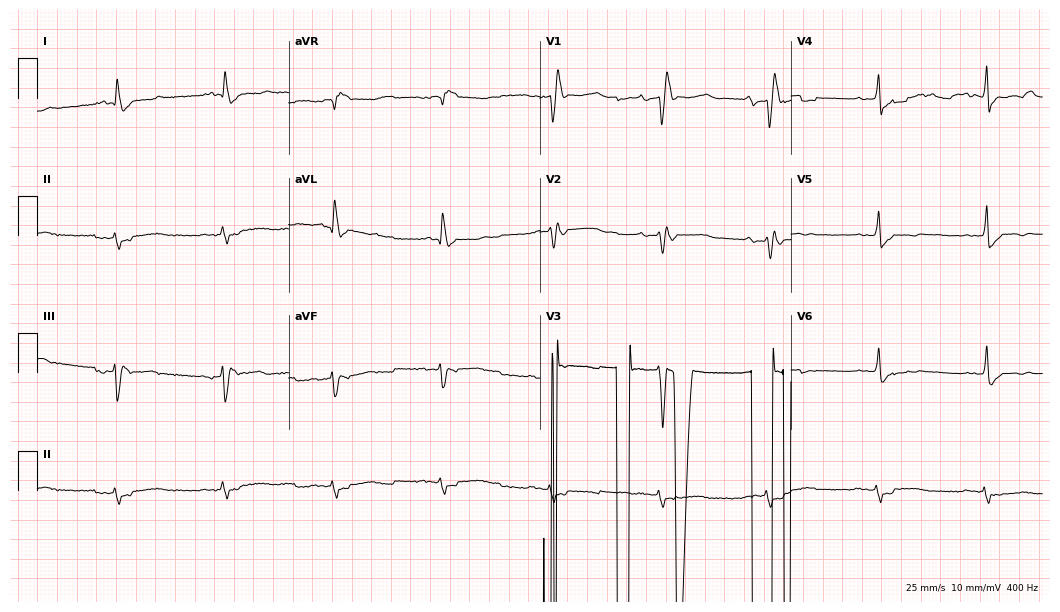
ECG — a man, 53 years old. Screened for six findings — first-degree AV block, right bundle branch block, left bundle branch block, sinus bradycardia, atrial fibrillation, sinus tachycardia — none is recorded.